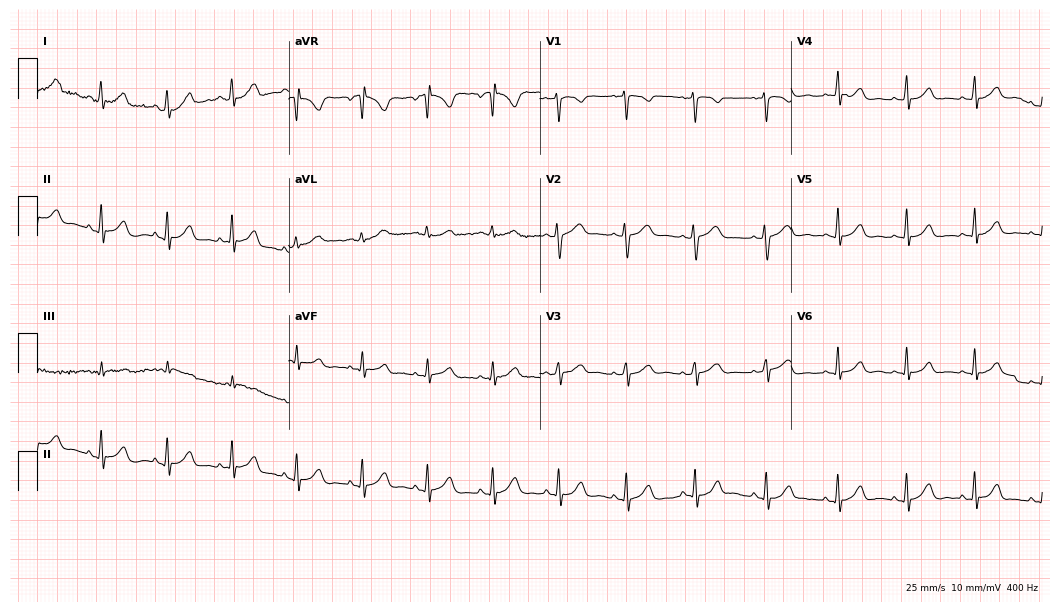
ECG — a female, 26 years old. Labelled as a normal ECG.